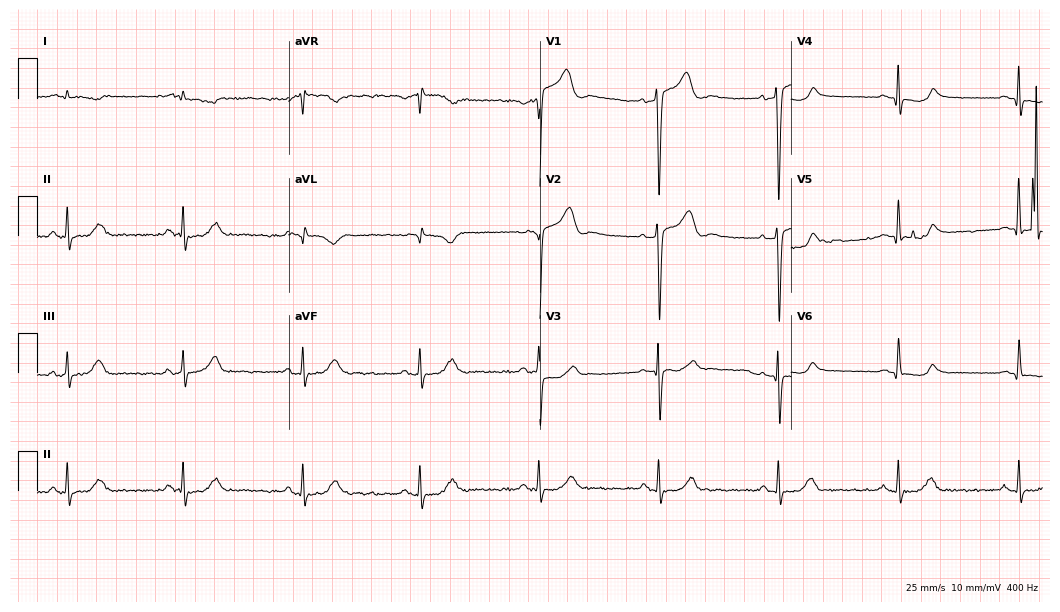
12-lead ECG from a 60-year-old male (10.2-second recording at 400 Hz). No first-degree AV block, right bundle branch block, left bundle branch block, sinus bradycardia, atrial fibrillation or sinus tachycardia recorded for this tracing. Findings outside these six are not listed.